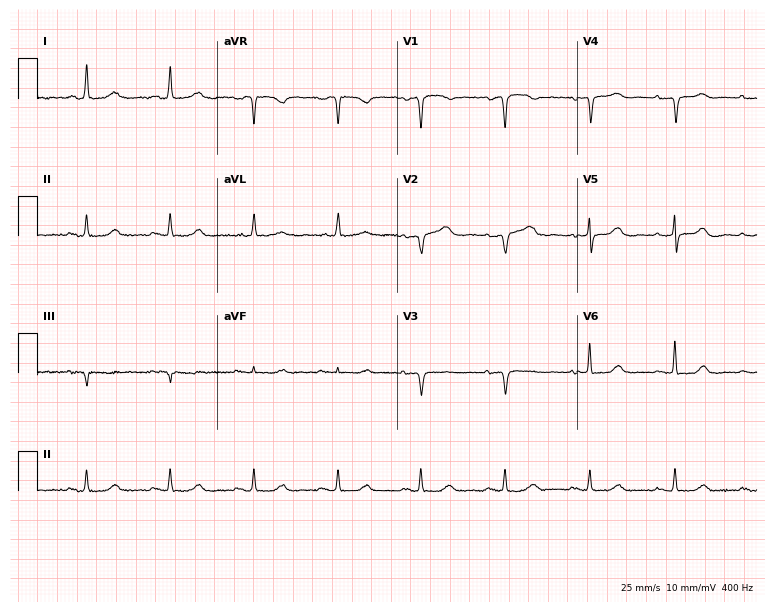
Standard 12-lead ECG recorded from a 66-year-old female patient. None of these six findings is recorded: first-degree AV block, right bundle branch block (RBBB), left bundle branch block (LBBB), sinus bradycardia, atrial fibrillation (AF), sinus tachycardia. Other findings, if any, are not listed.